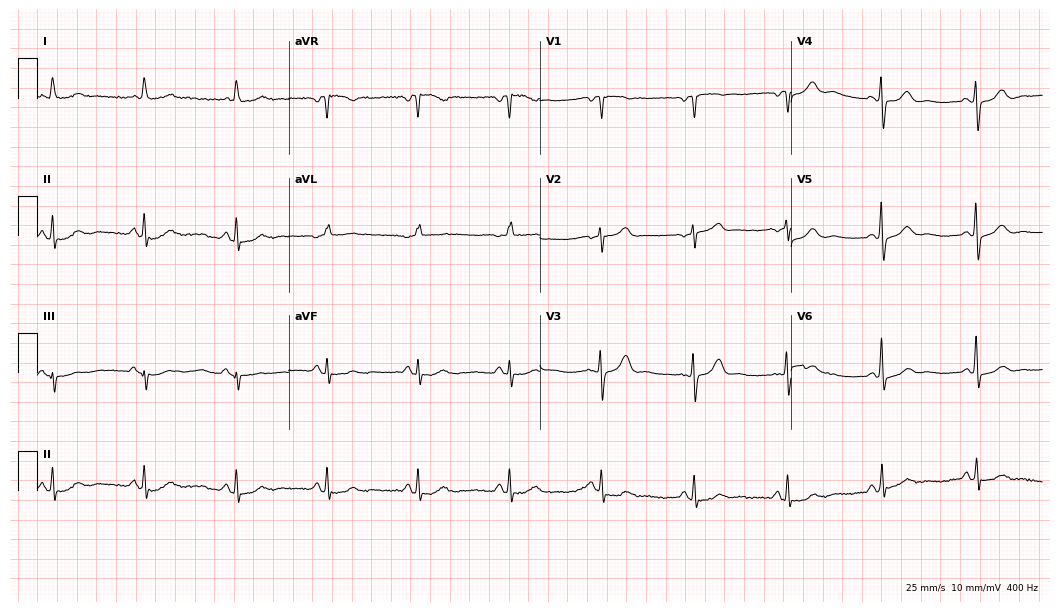
12-lead ECG (10.2-second recording at 400 Hz) from an 85-year-old woman. Screened for six findings — first-degree AV block, right bundle branch block, left bundle branch block, sinus bradycardia, atrial fibrillation, sinus tachycardia — none is recorded. Other findings, if any, are not listed.